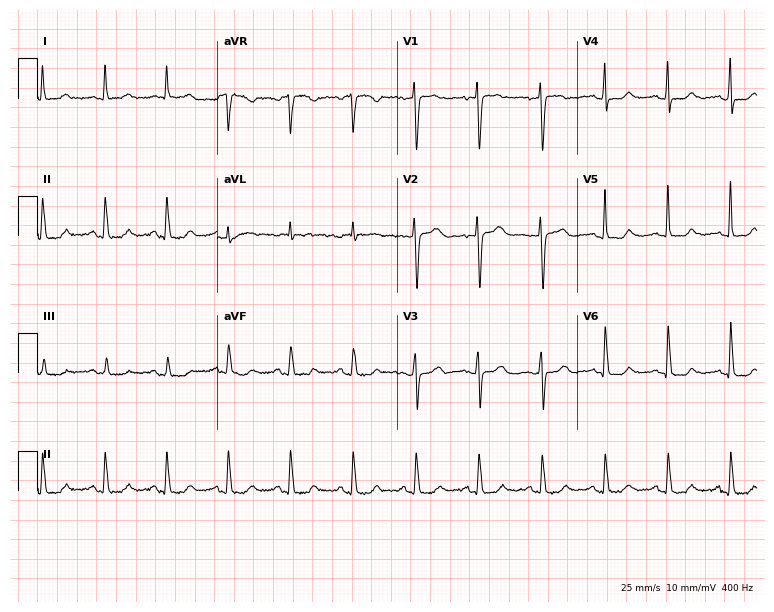
ECG — a female patient, 73 years old. Labelled as a normal ECG.